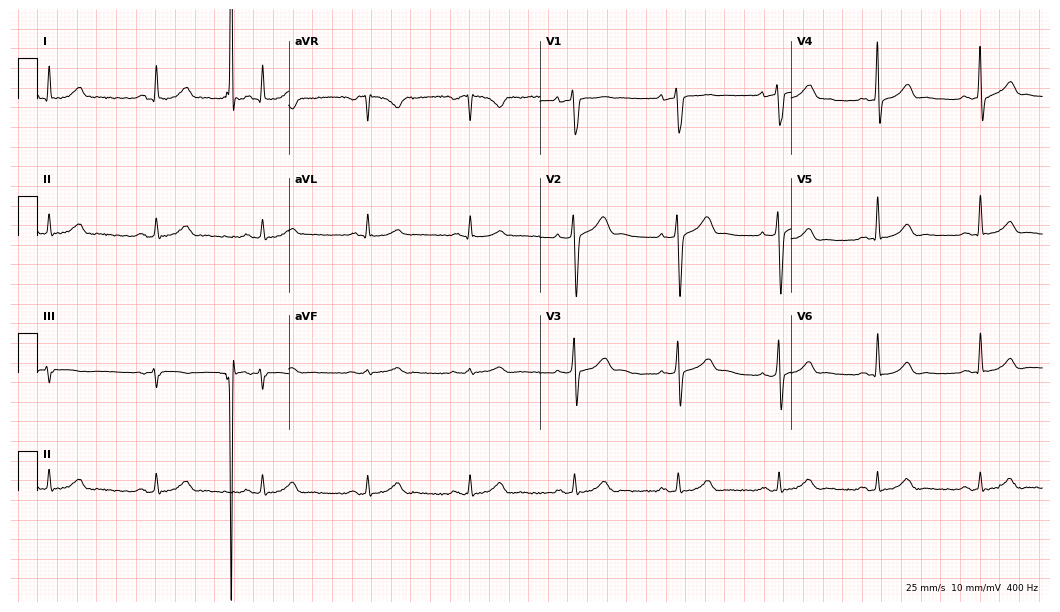
12-lead ECG from a man, 41 years old. Screened for six findings — first-degree AV block, right bundle branch block, left bundle branch block, sinus bradycardia, atrial fibrillation, sinus tachycardia — none is recorded.